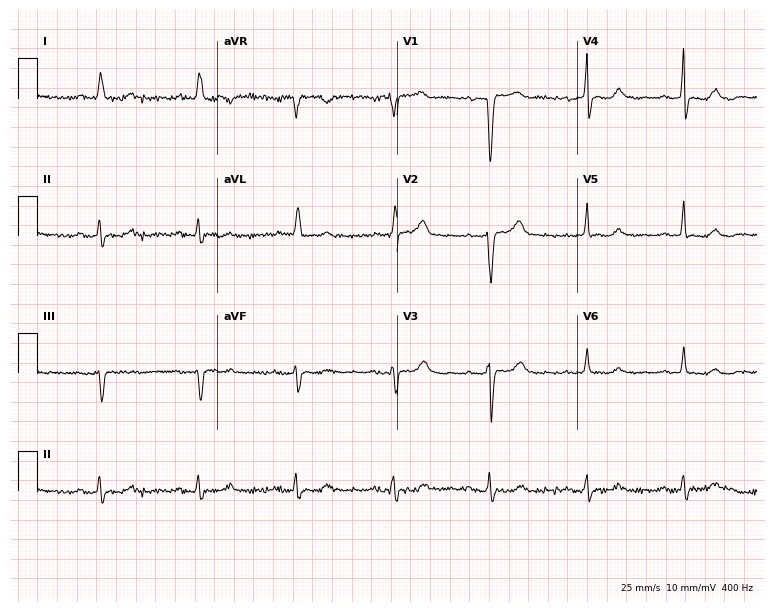
Resting 12-lead electrocardiogram. Patient: a female, 77 years old. None of these six findings is recorded: first-degree AV block, right bundle branch block, left bundle branch block, sinus bradycardia, atrial fibrillation, sinus tachycardia. Findings outside these six are not listed.